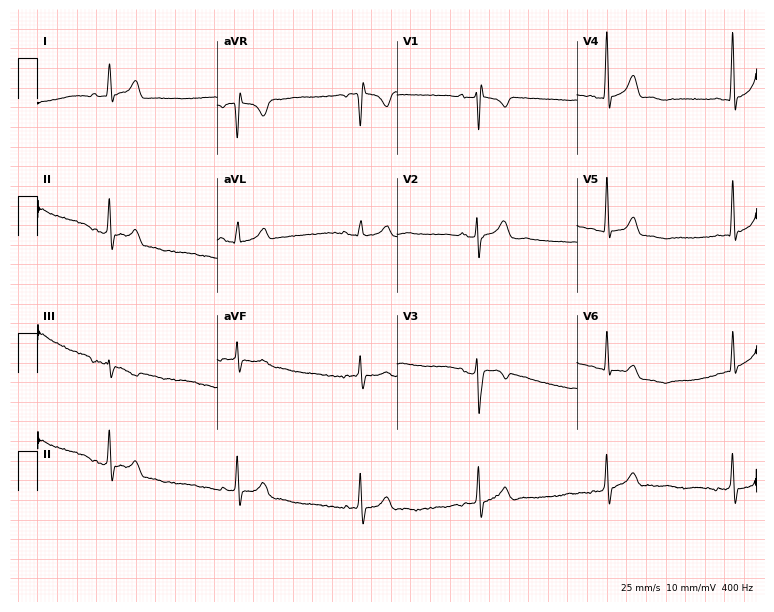
12-lead ECG from a 24-year-old male patient. Findings include sinus bradycardia (a sinus rate of 50 beats per minute or less).